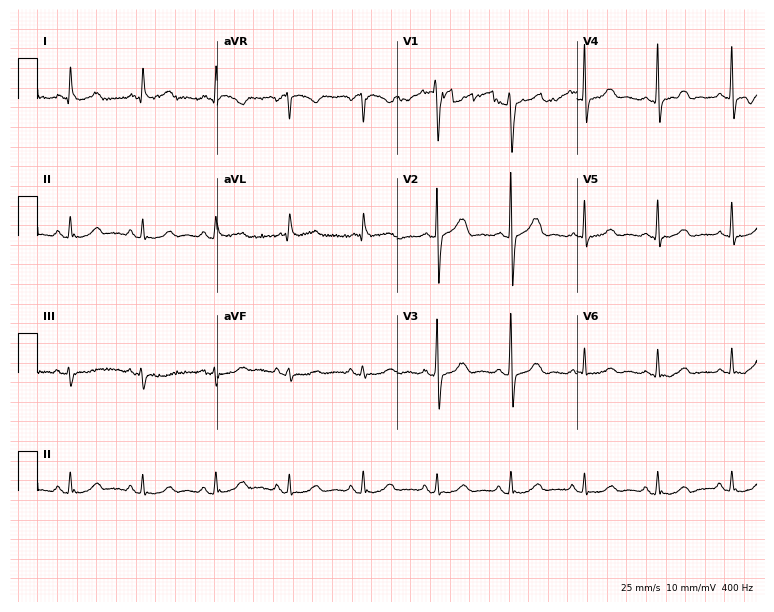
Electrocardiogram (7.3-second recording at 400 Hz), a female patient, 75 years old. Overall reading on record: normal ECG.